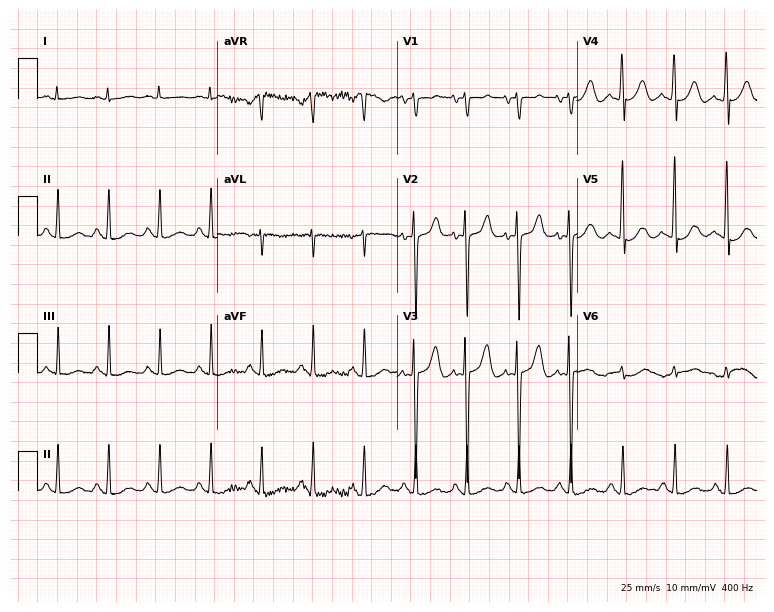
12-lead ECG from a 27-year-old female patient (7.3-second recording at 400 Hz). Shows sinus tachycardia (a sinus rate of 100 beats per minute or more).